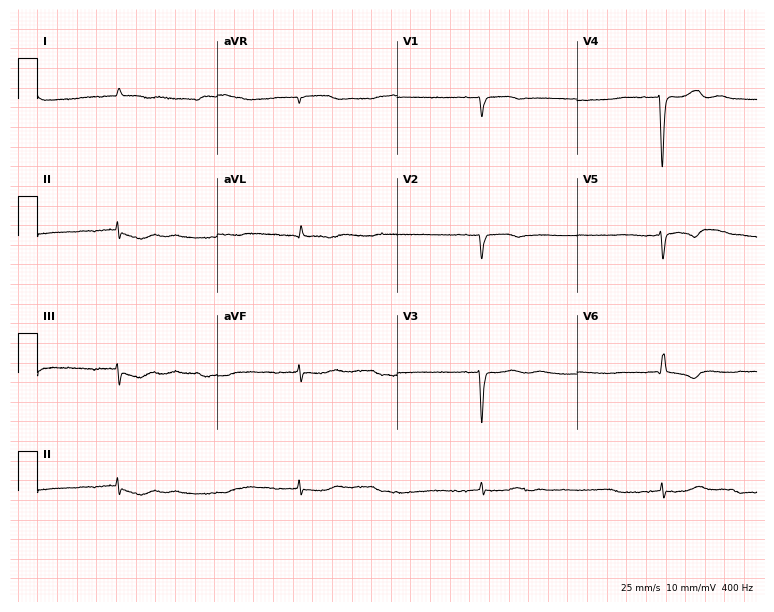
12-lead ECG (7.3-second recording at 400 Hz) from an 82-year-old male patient. Findings include atrial fibrillation.